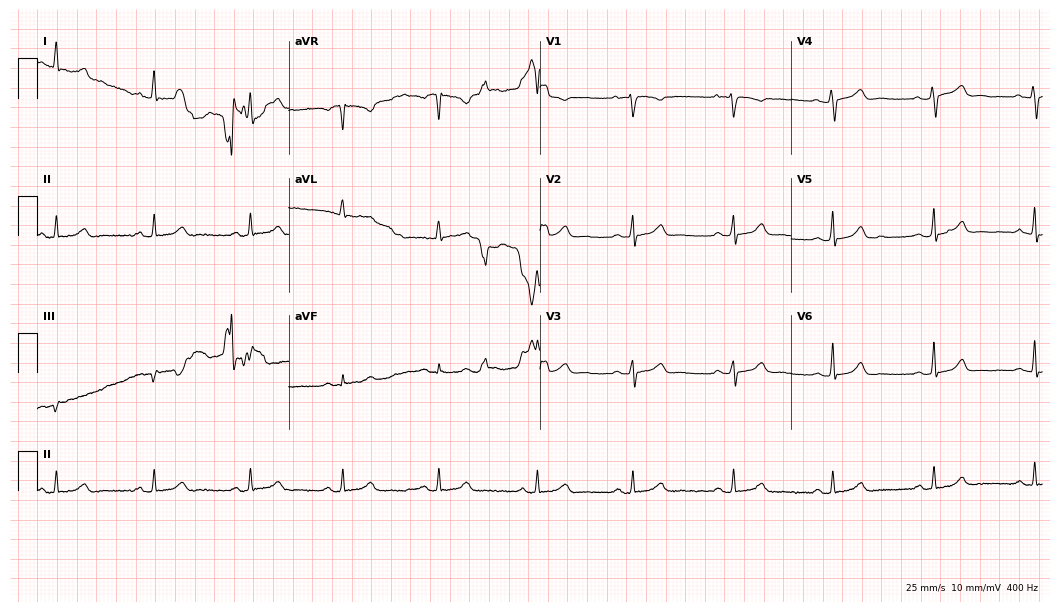
12-lead ECG from a female patient, 37 years old. Screened for six findings — first-degree AV block, right bundle branch block, left bundle branch block, sinus bradycardia, atrial fibrillation, sinus tachycardia — none is recorded.